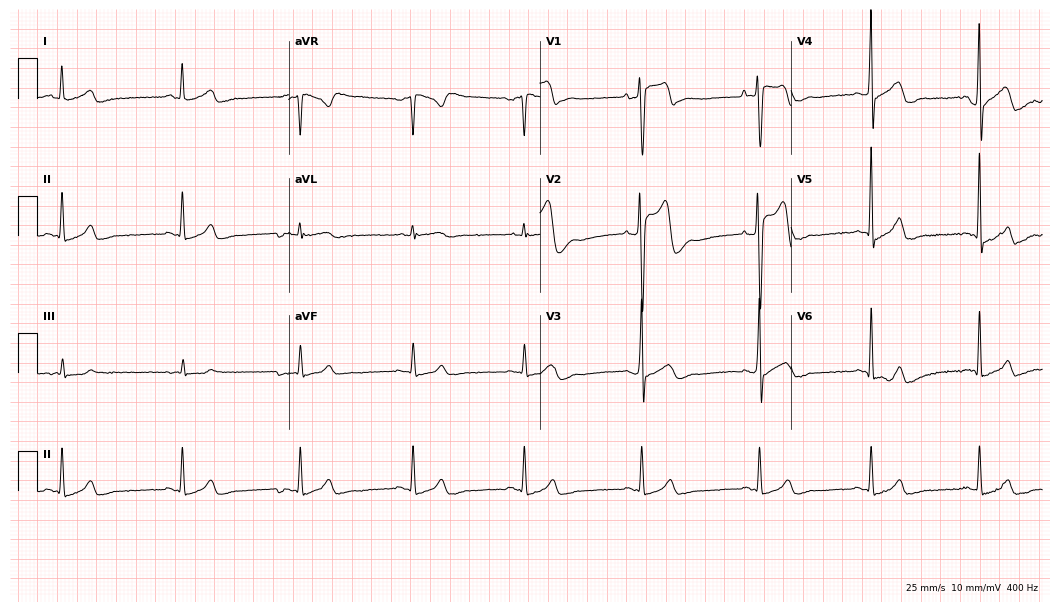
12-lead ECG from a male, 38 years old. Screened for six findings — first-degree AV block, right bundle branch block, left bundle branch block, sinus bradycardia, atrial fibrillation, sinus tachycardia — none is recorded. Other findings, if any, are not listed.